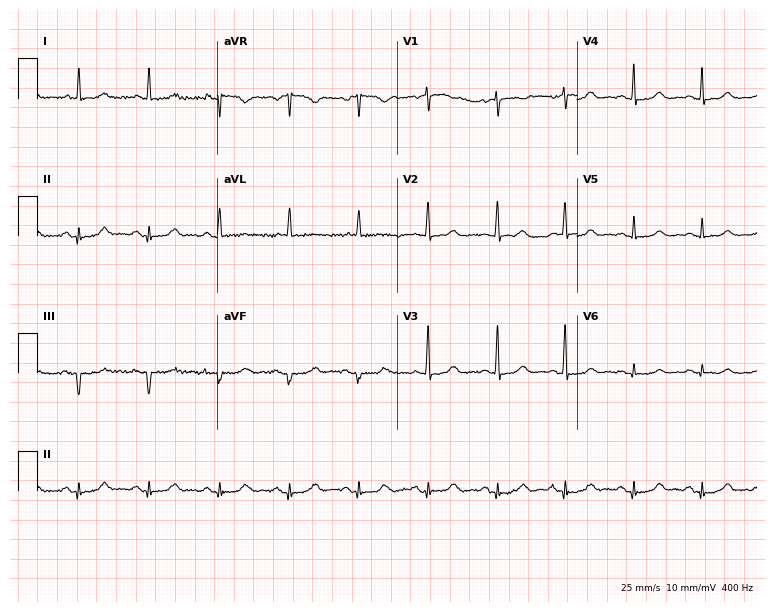
12-lead ECG from a 72-year-old woman (7.3-second recording at 400 Hz). No first-degree AV block, right bundle branch block, left bundle branch block, sinus bradycardia, atrial fibrillation or sinus tachycardia recorded for this tracing. Only these six findings were labelled.